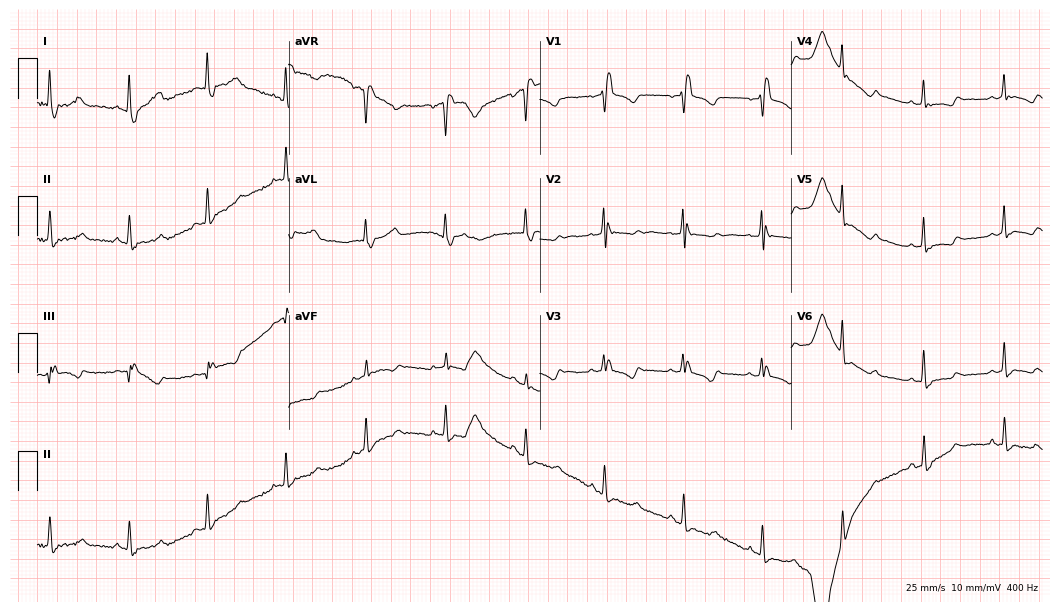
12-lead ECG from a 72-year-old woman. Screened for six findings — first-degree AV block, right bundle branch block, left bundle branch block, sinus bradycardia, atrial fibrillation, sinus tachycardia — none is recorded.